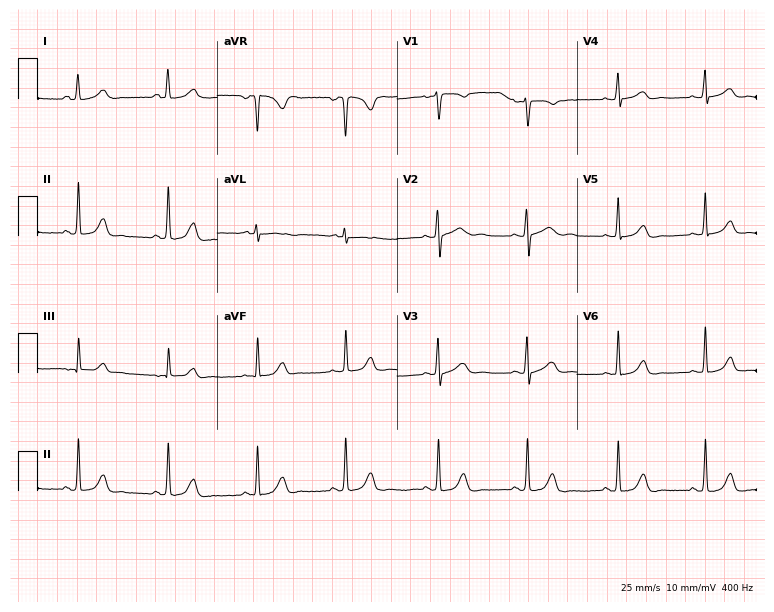
Standard 12-lead ECG recorded from a 24-year-old female patient (7.3-second recording at 400 Hz). None of these six findings is recorded: first-degree AV block, right bundle branch block (RBBB), left bundle branch block (LBBB), sinus bradycardia, atrial fibrillation (AF), sinus tachycardia. Only these six findings were labelled.